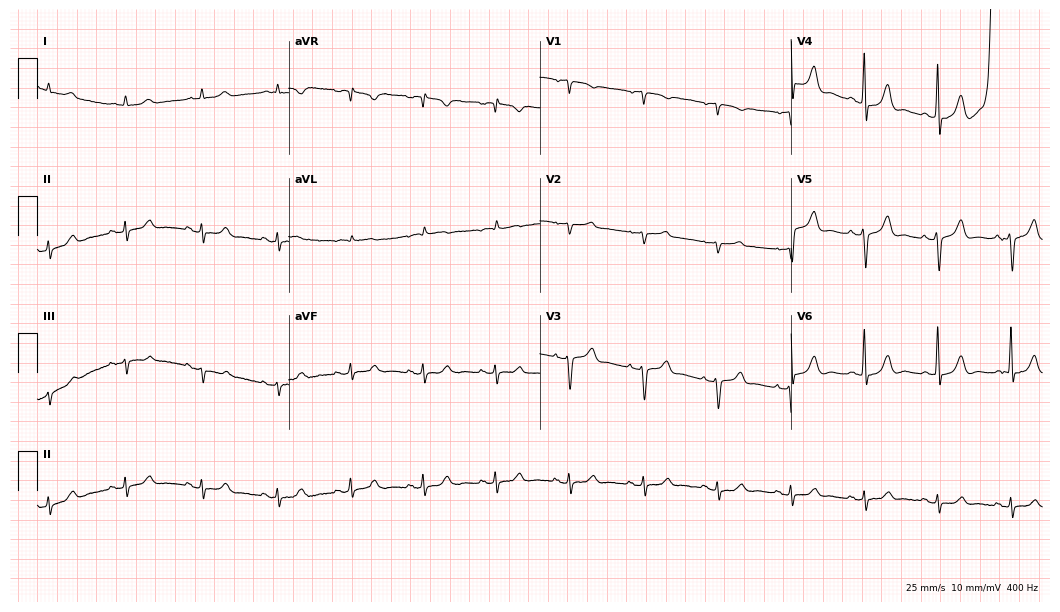
12-lead ECG from a man, 72 years old. No first-degree AV block, right bundle branch block (RBBB), left bundle branch block (LBBB), sinus bradycardia, atrial fibrillation (AF) or sinus tachycardia recorded for this tracing.